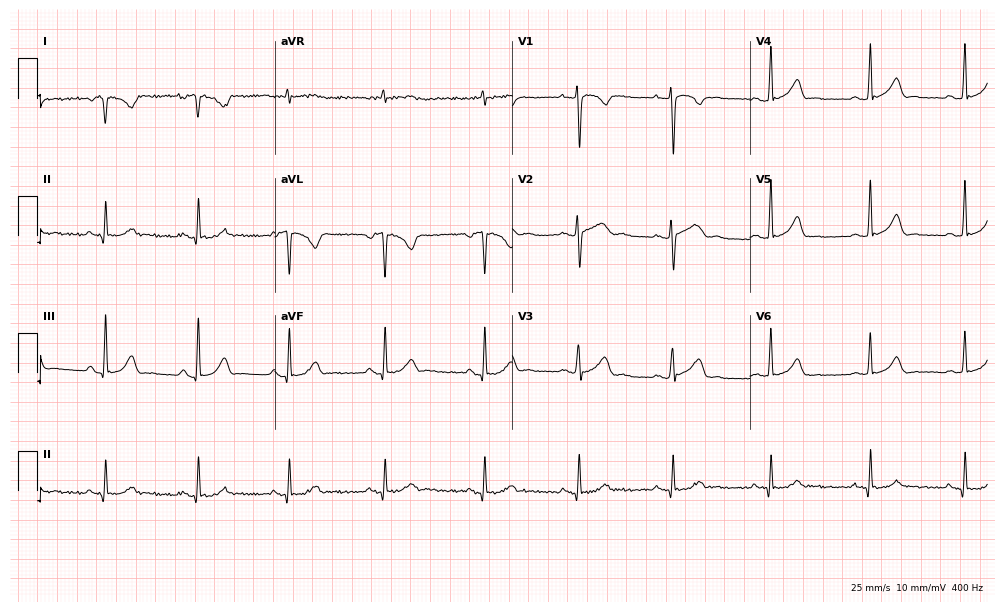
12-lead ECG (9.7-second recording at 400 Hz) from a female, 21 years old. Screened for six findings — first-degree AV block, right bundle branch block, left bundle branch block, sinus bradycardia, atrial fibrillation, sinus tachycardia — none is recorded.